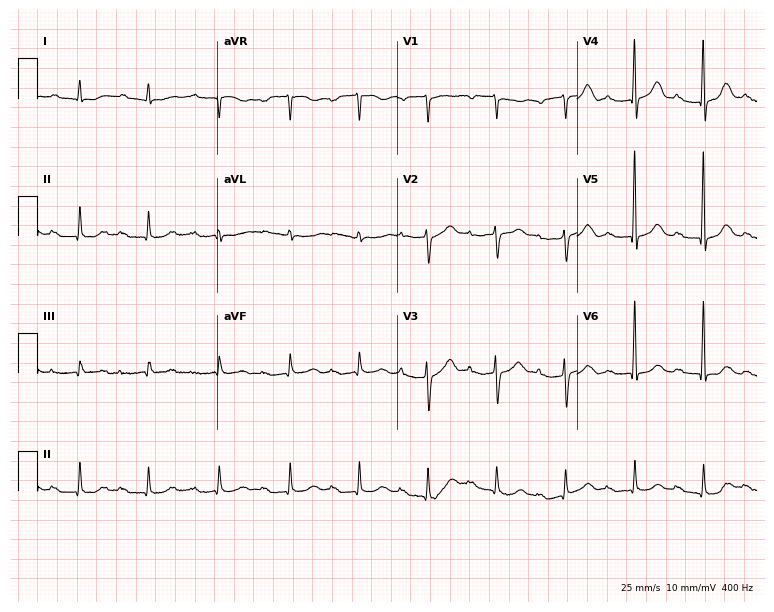
12-lead ECG from a woman, 78 years old (7.3-second recording at 400 Hz). Shows first-degree AV block.